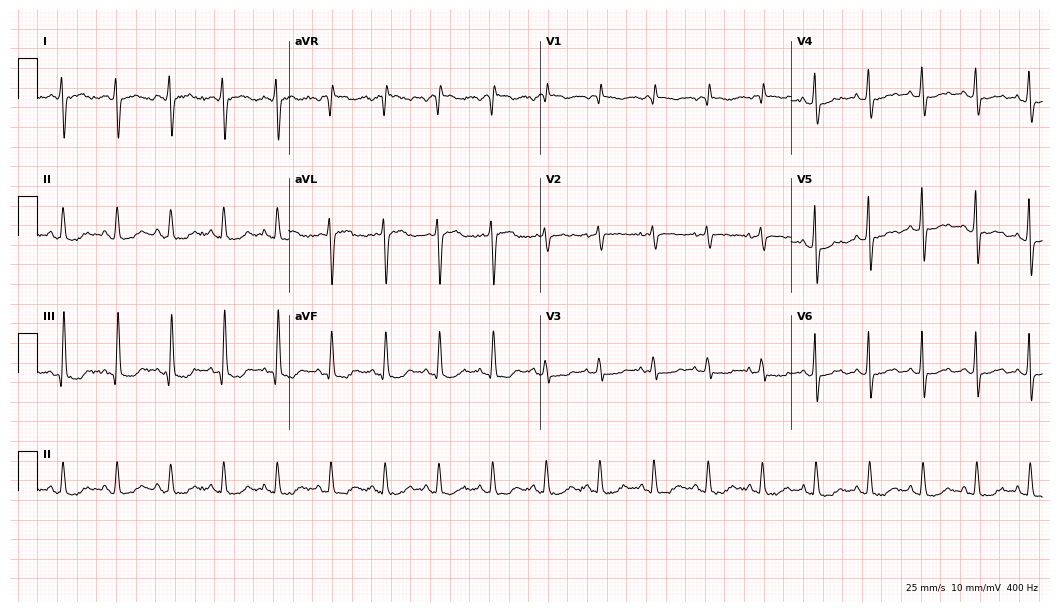
12-lead ECG from a 56-year-old female. Findings include sinus tachycardia (a sinus rate of 100 beats per minute or more).